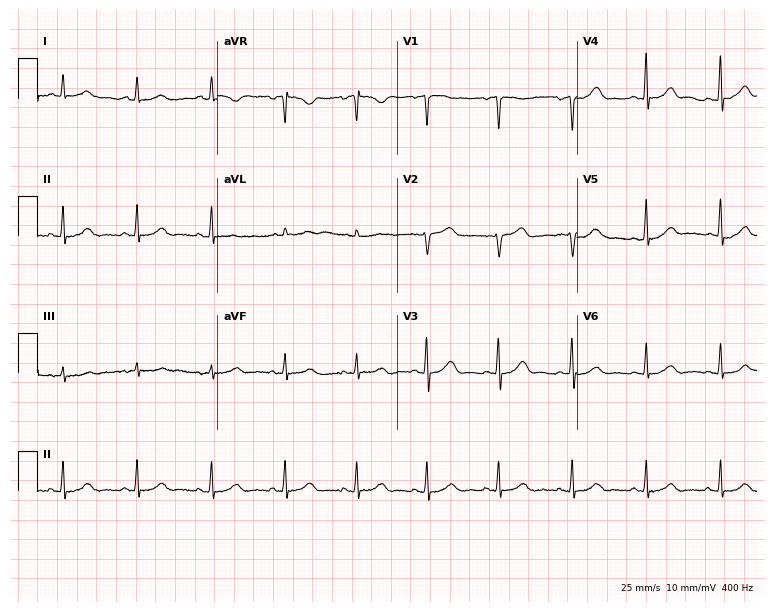
Resting 12-lead electrocardiogram (7.3-second recording at 400 Hz). Patient: a female, 46 years old. None of these six findings is recorded: first-degree AV block, right bundle branch block, left bundle branch block, sinus bradycardia, atrial fibrillation, sinus tachycardia. Findings outside these six are not listed.